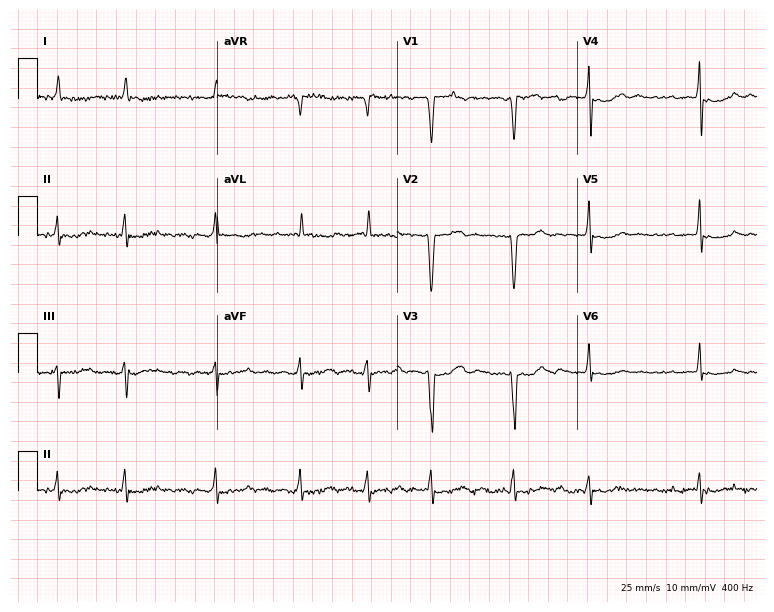
Standard 12-lead ECG recorded from an 83-year-old female patient (7.3-second recording at 400 Hz). The tracing shows atrial fibrillation.